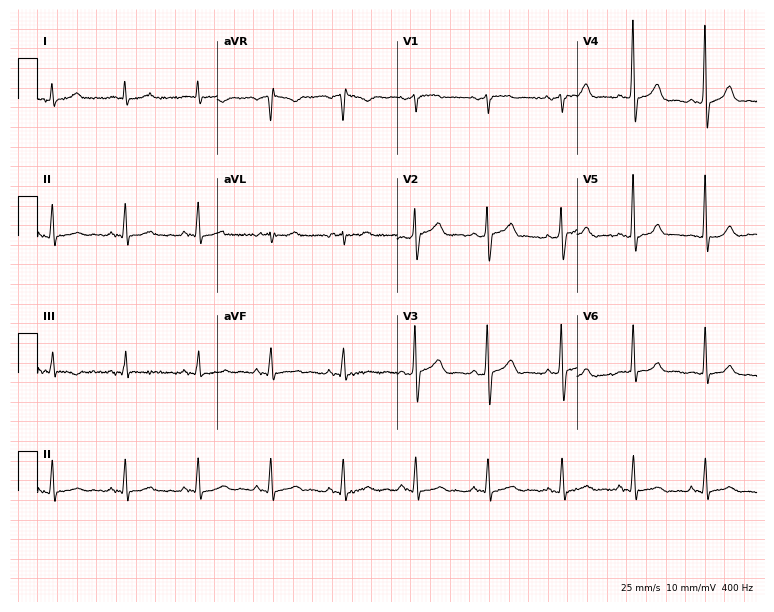
12-lead ECG (7.3-second recording at 400 Hz) from a male, 79 years old. Labelled as a normal ECG.